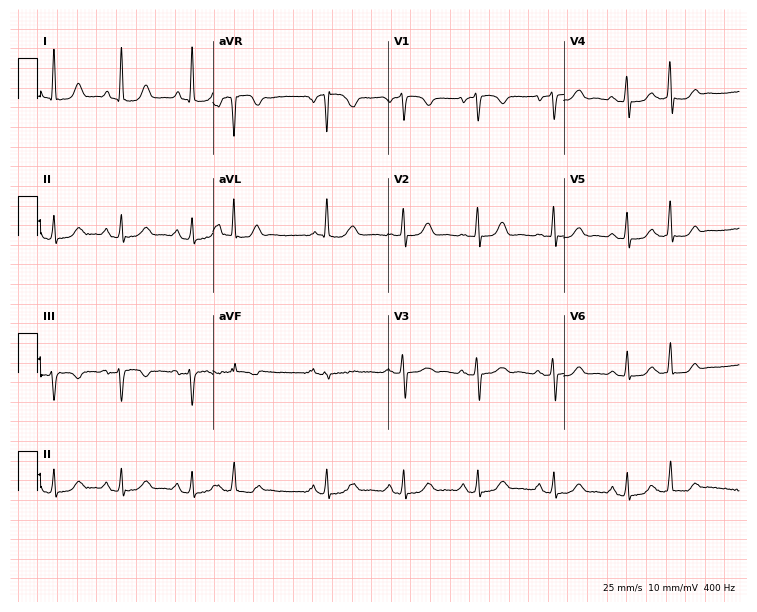
Resting 12-lead electrocardiogram. Patient: a 65-year-old female. None of these six findings is recorded: first-degree AV block, right bundle branch block, left bundle branch block, sinus bradycardia, atrial fibrillation, sinus tachycardia.